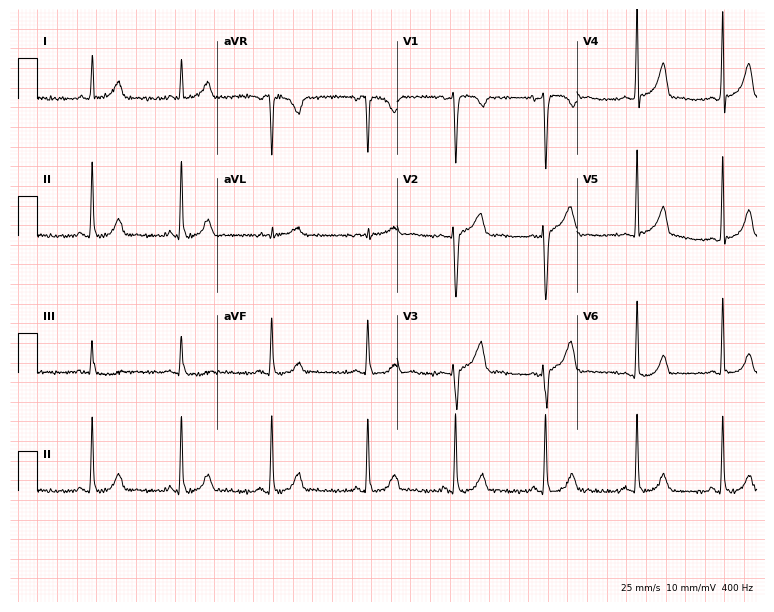
12-lead ECG from a woman, 45 years old. Recorded interpretation: within normal limits.